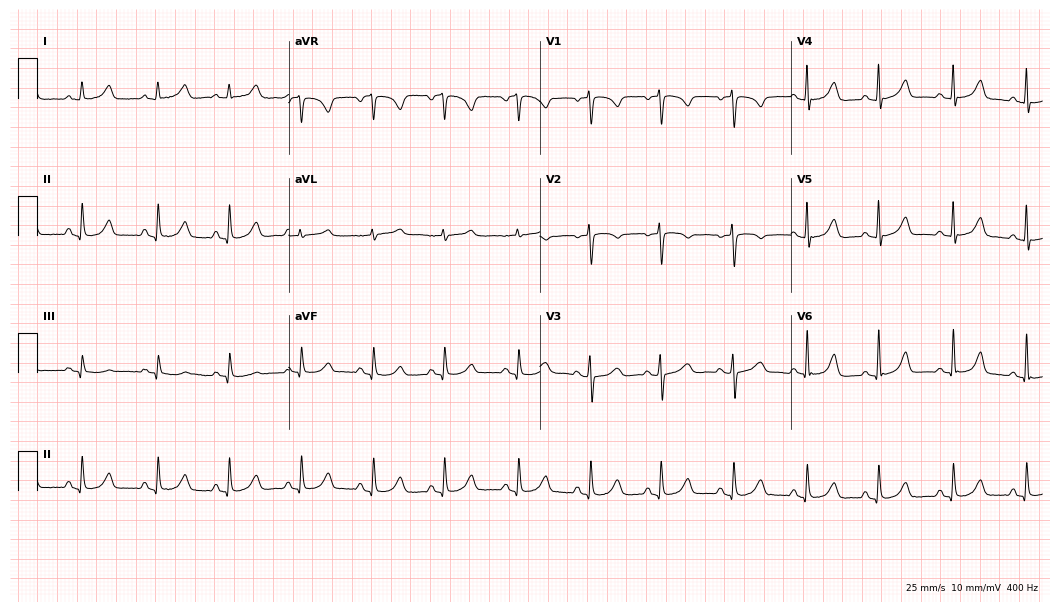
12-lead ECG from a 59-year-old female patient. Recorded interpretation: within normal limits.